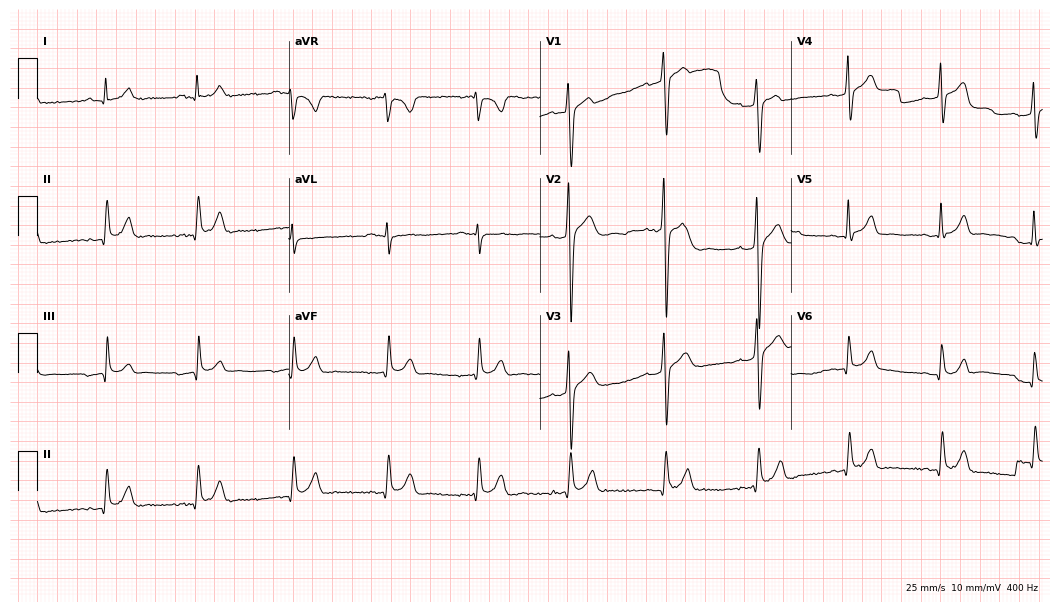
12-lead ECG from a man, 22 years old (10.2-second recording at 400 Hz). No first-degree AV block, right bundle branch block, left bundle branch block, sinus bradycardia, atrial fibrillation or sinus tachycardia recorded for this tracing.